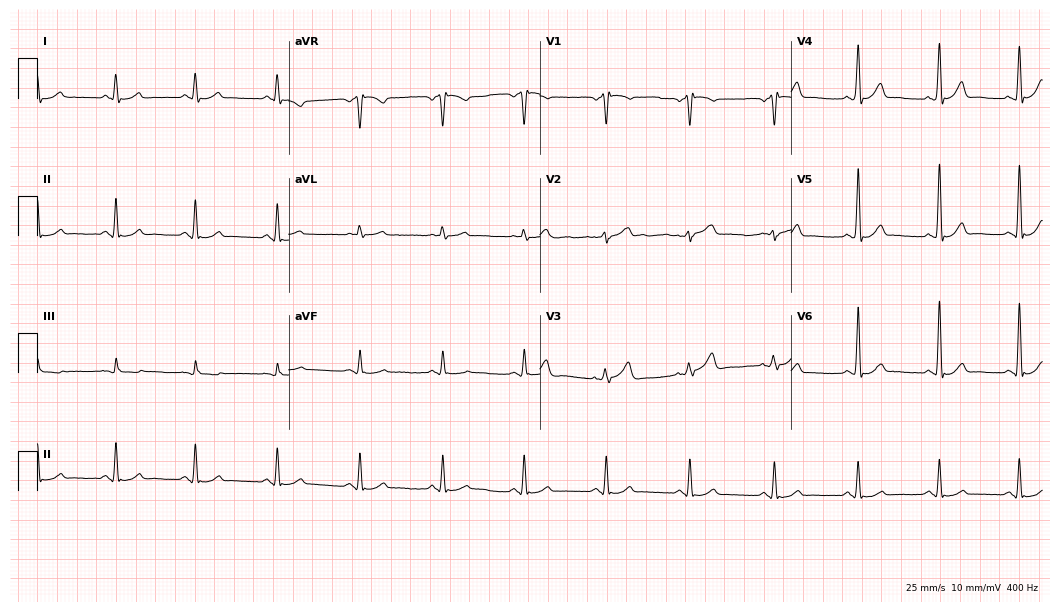
Electrocardiogram (10.2-second recording at 400 Hz), a 77-year-old man. Of the six screened findings (first-degree AV block, right bundle branch block, left bundle branch block, sinus bradycardia, atrial fibrillation, sinus tachycardia), none is recorded.